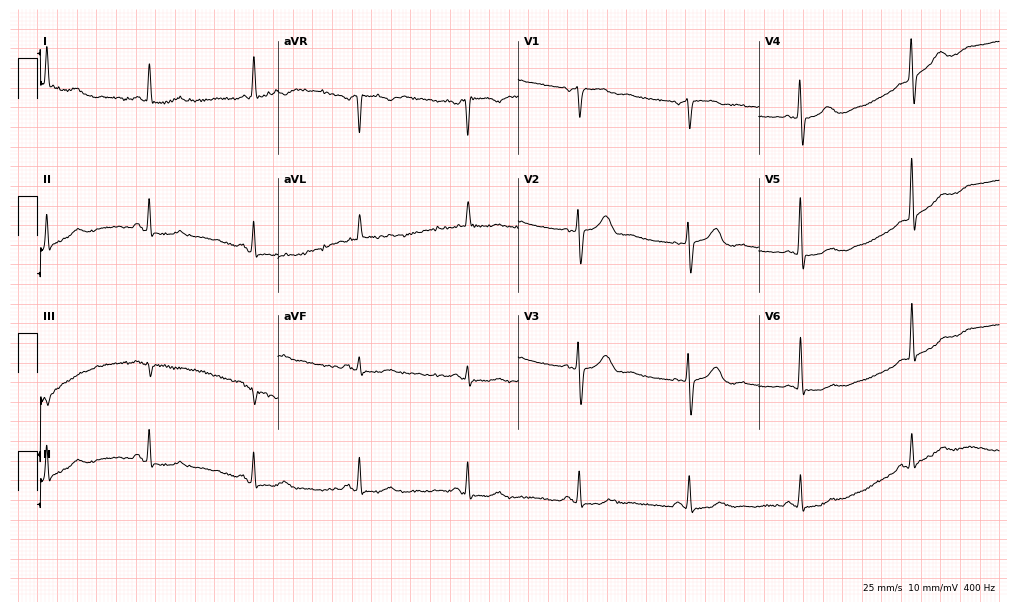
12-lead ECG from a female, 65 years old (9.8-second recording at 400 Hz). No first-degree AV block, right bundle branch block, left bundle branch block, sinus bradycardia, atrial fibrillation or sinus tachycardia recorded for this tracing. Other findings, if any, are not listed.